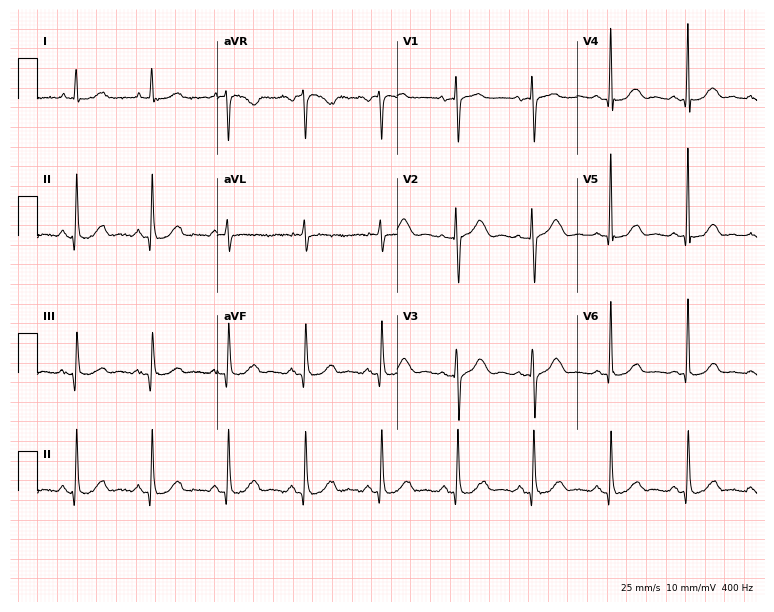
Standard 12-lead ECG recorded from an 84-year-old female (7.3-second recording at 400 Hz). None of these six findings is recorded: first-degree AV block, right bundle branch block (RBBB), left bundle branch block (LBBB), sinus bradycardia, atrial fibrillation (AF), sinus tachycardia.